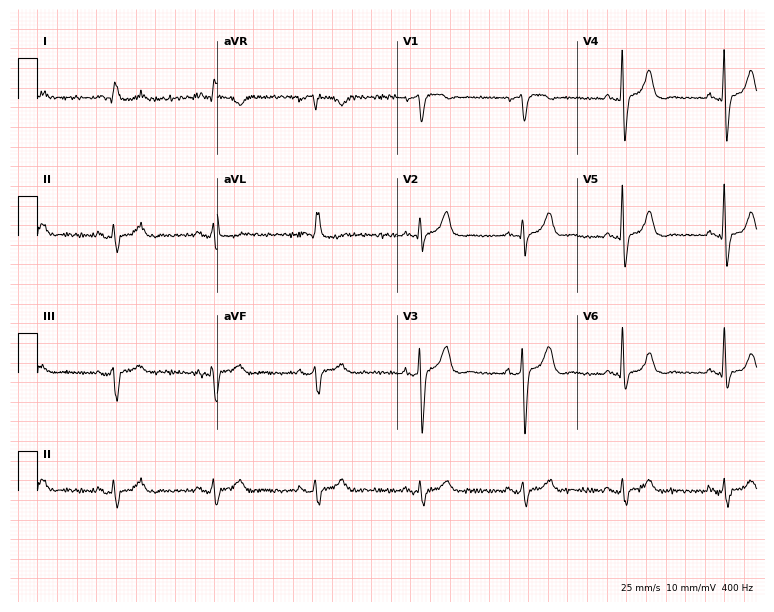
Electrocardiogram, a female patient, 76 years old. Of the six screened findings (first-degree AV block, right bundle branch block (RBBB), left bundle branch block (LBBB), sinus bradycardia, atrial fibrillation (AF), sinus tachycardia), none is recorded.